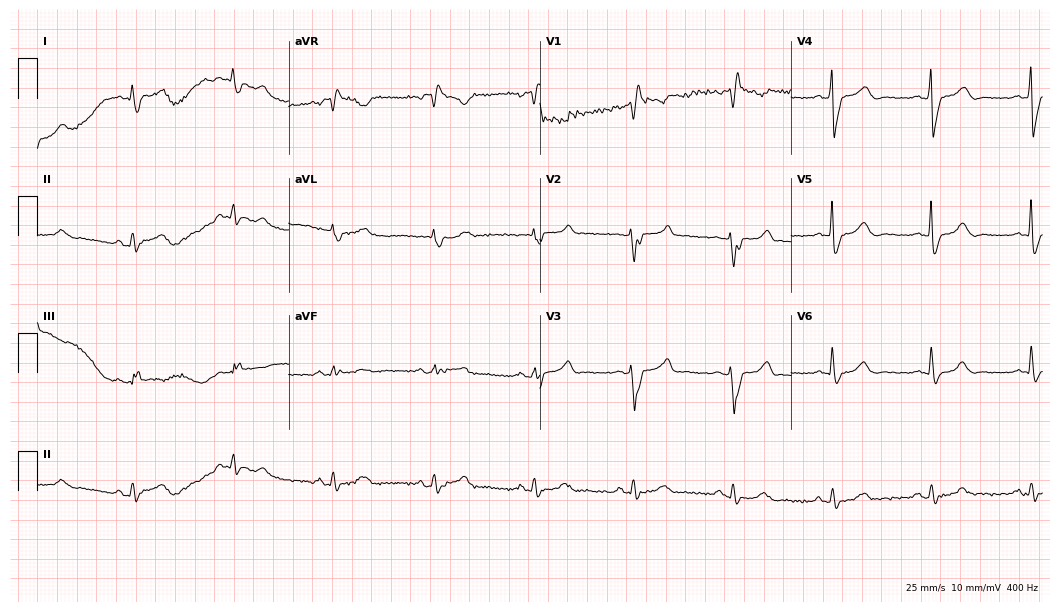
ECG (10.2-second recording at 400 Hz) — a 60-year-old male. Findings include right bundle branch block (RBBB).